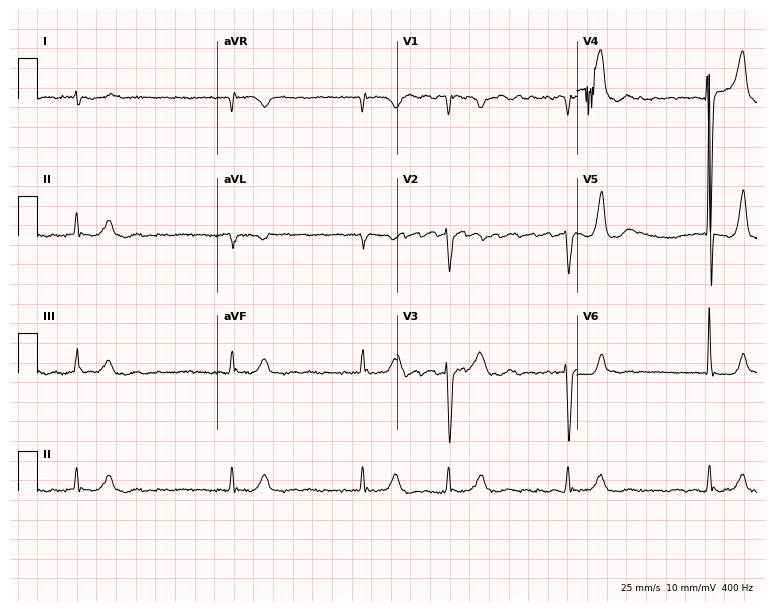
12-lead ECG from a 75-year-old male. Findings include atrial fibrillation.